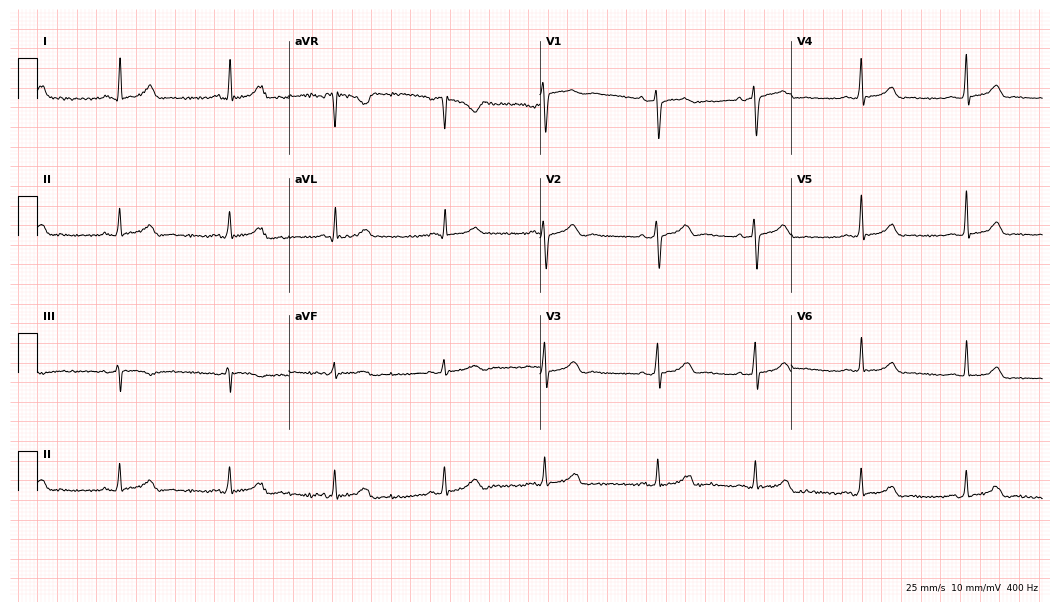
Standard 12-lead ECG recorded from a 28-year-old female (10.2-second recording at 400 Hz). Read as a normal ECG.